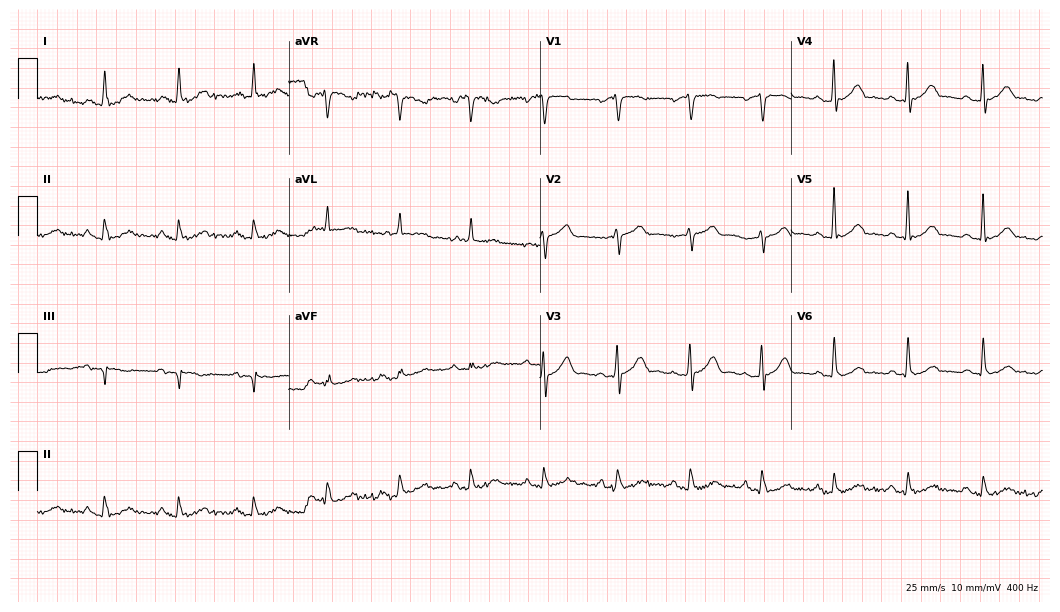
ECG — a 68-year-old male patient. Screened for six findings — first-degree AV block, right bundle branch block (RBBB), left bundle branch block (LBBB), sinus bradycardia, atrial fibrillation (AF), sinus tachycardia — none is recorded. Other findings, if any, are not listed.